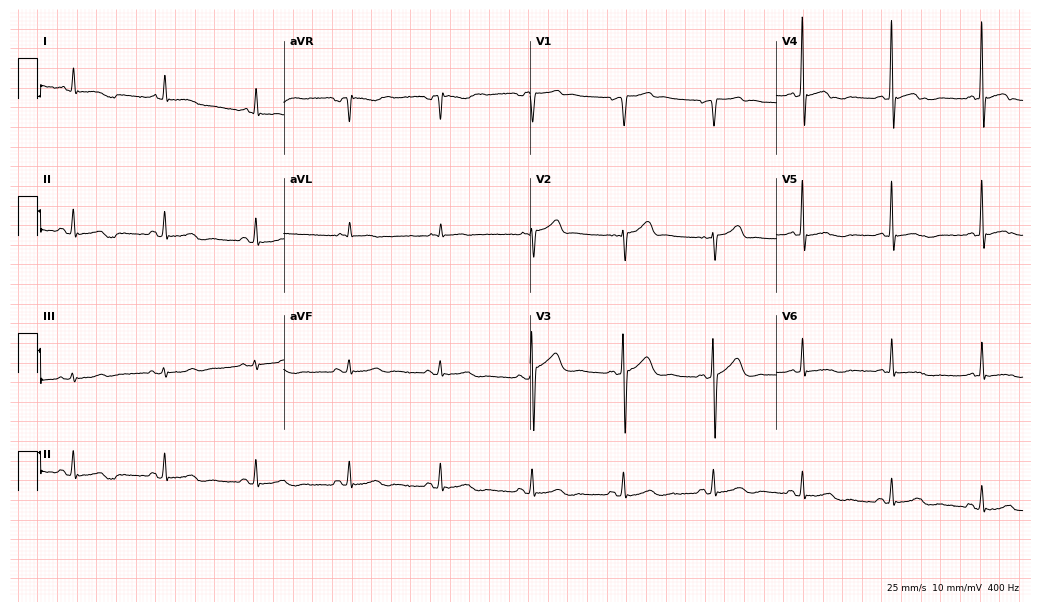
Electrocardiogram (10-second recording at 400 Hz), a male, 65 years old. Of the six screened findings (first-degree AV block, right bundle branch block, left bundle branch block, sinus bradycardia, atrial fibrillation, sinus tachycardia), none is recorded.